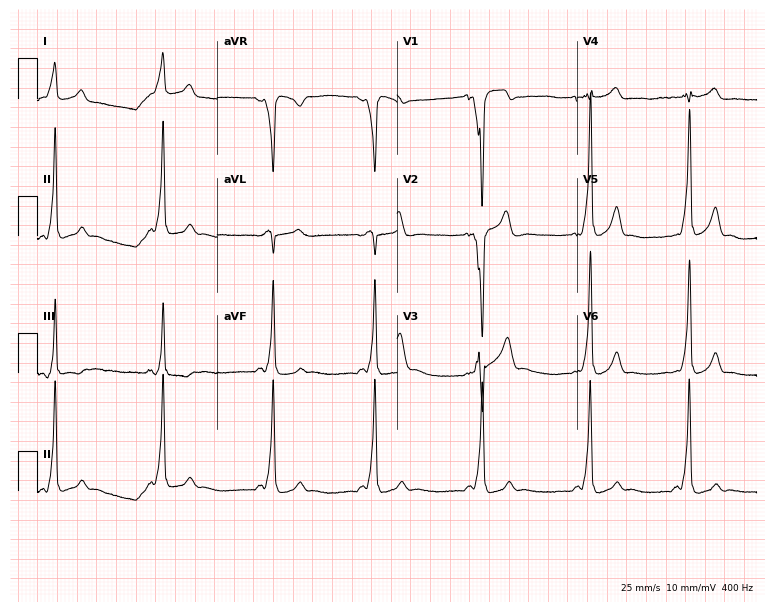
Resting 12-lead electrocardiogram (7.3-second recording at 400 Hz). Patient: a 30-year-old female. None of these six findings is recorded: first-degree AV block, right bundle branch block, left bundle branch block, sinus bradycardia, atrial fibrillation, sinus tachycardia.